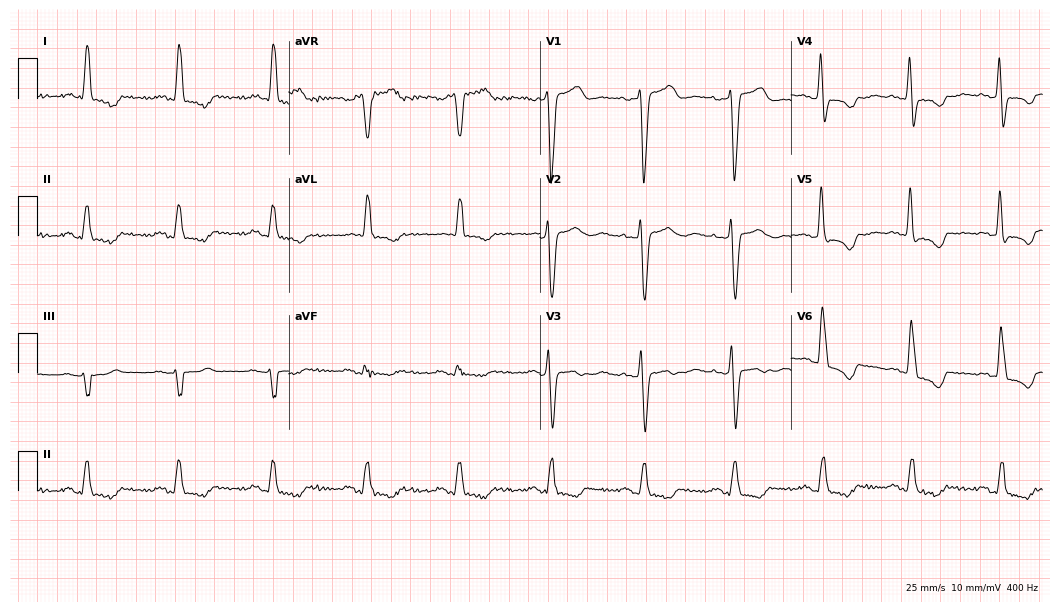
Resting 12-lead electrocardiogram. Patient: a 76-year-old woman. The tracing shows left bundle branch block.